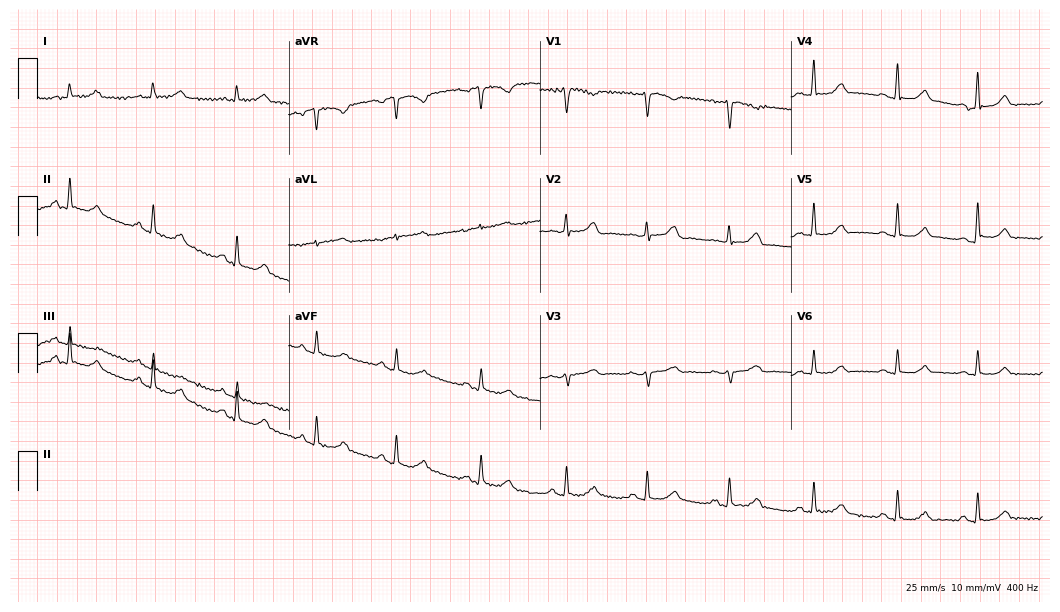
Standard 12-lead ECG recorded from a 50-year-old female patient (10.2-second recording at 400 Hz). Read as a normal ECG.